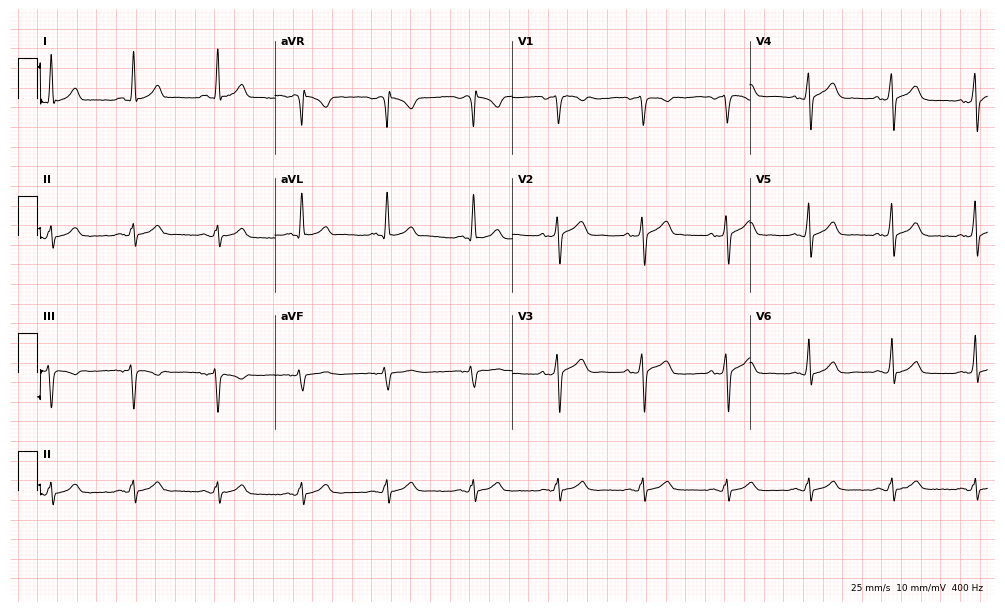
Resting 12-lead electrocardiogram. Patient: a 55-year-old male. Read as a normal ECG.